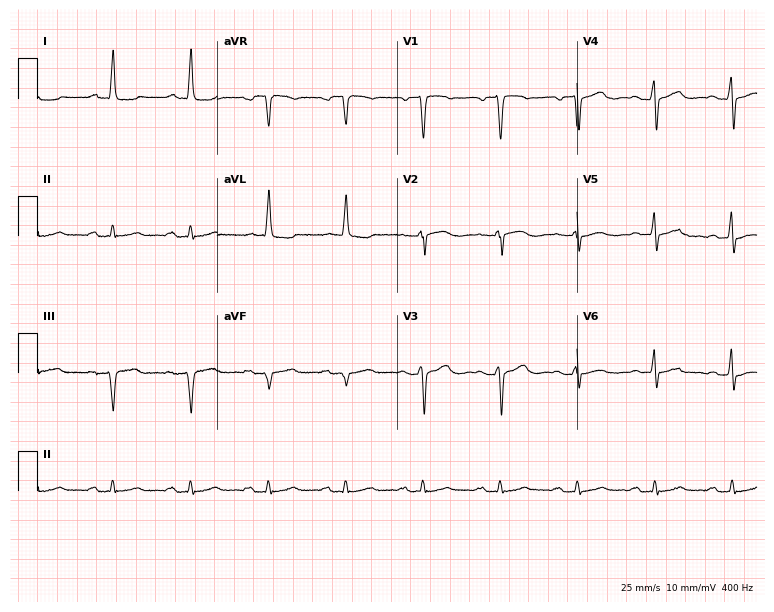
Resting 12-lead electrocardiogram. Patient: an 81-year-old female. None of these six findings is recorded: first-degree AV block, right bundle branch block, left bundle branch block, sinus bradycardia, atrial fibrillation, sinus tachycardia. Only these six findings were labelled.